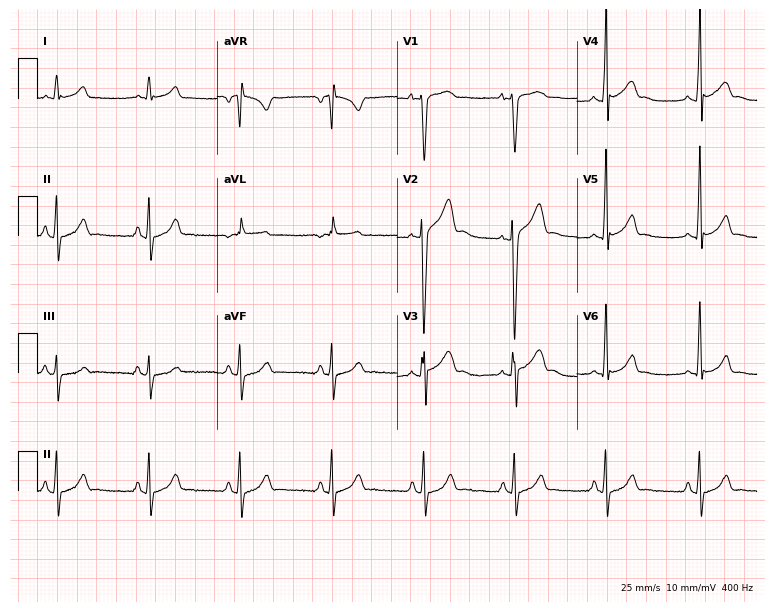
Standard 12-lead ECG recorded from a 21-year-old male. Read as a normal ECG.